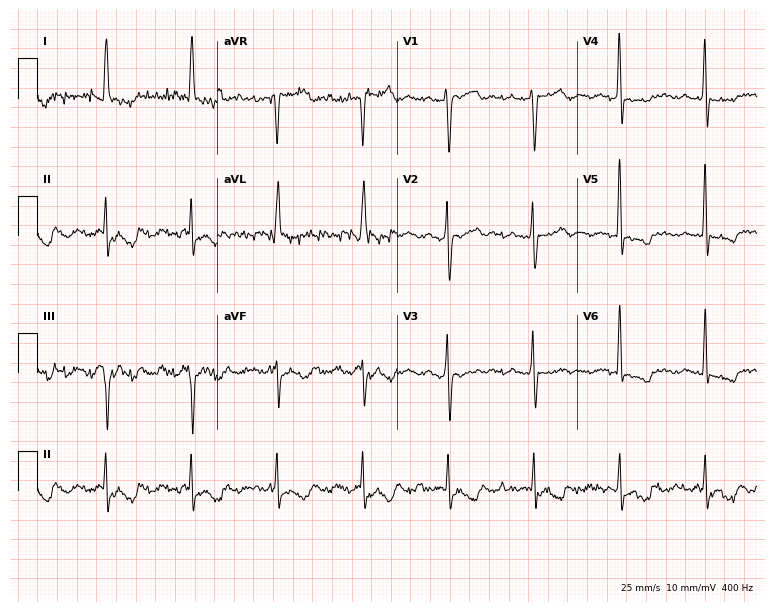
ECG — a 77-year-old male. Screened for six findings — first-degree AV block, right bundle branch block (RBBB), left bundle branch block (LBBB), sinus bradycardia, atrial fibrillation (AF), sinus tachycardia — none is recorded. Findings outside these six are not listed.